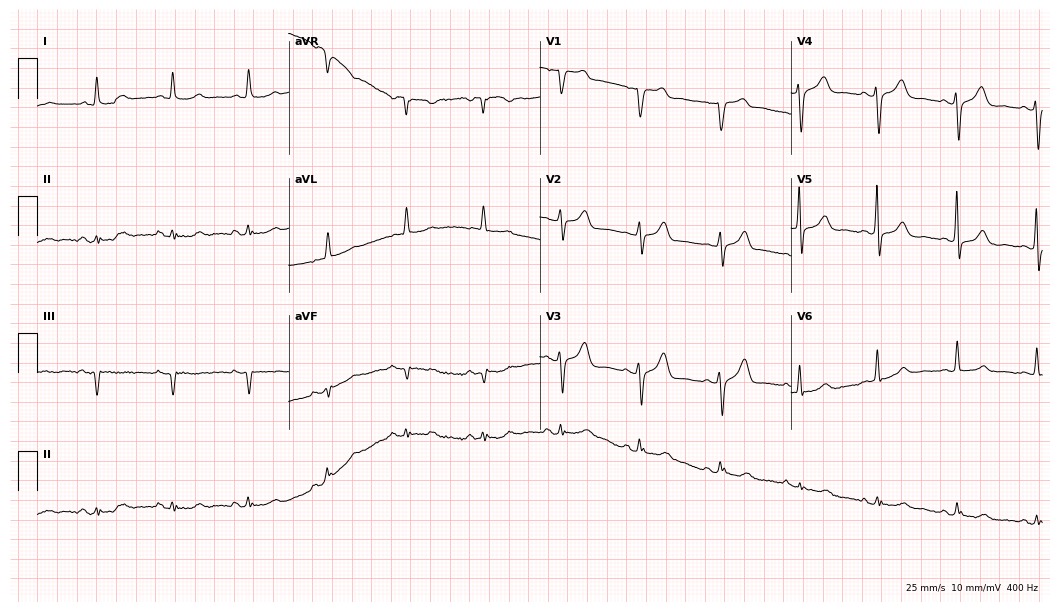
Resting 12-lead electrocardiogram. Patient: a female, 79 years old. Read as a normal ECG.